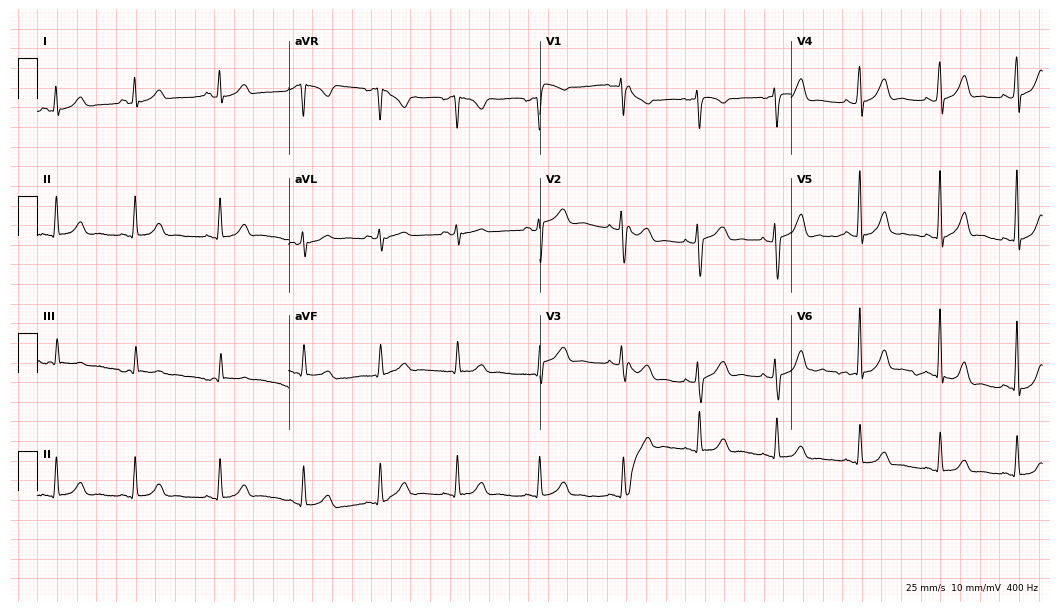
12-lead ECG from a female, 24 years old. Recorded interpretation: within normal limits.